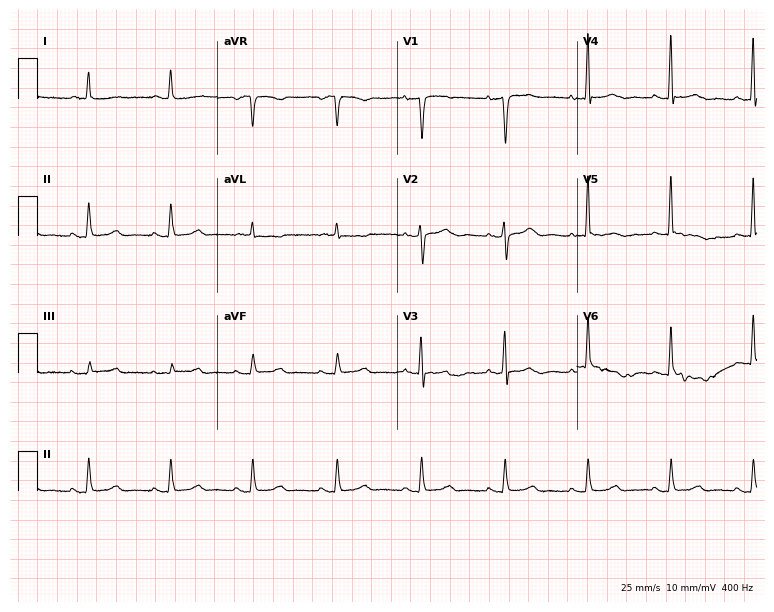
12-lead ECG from a female patient, 75 years old. Recorded interpretation: within normal limits.